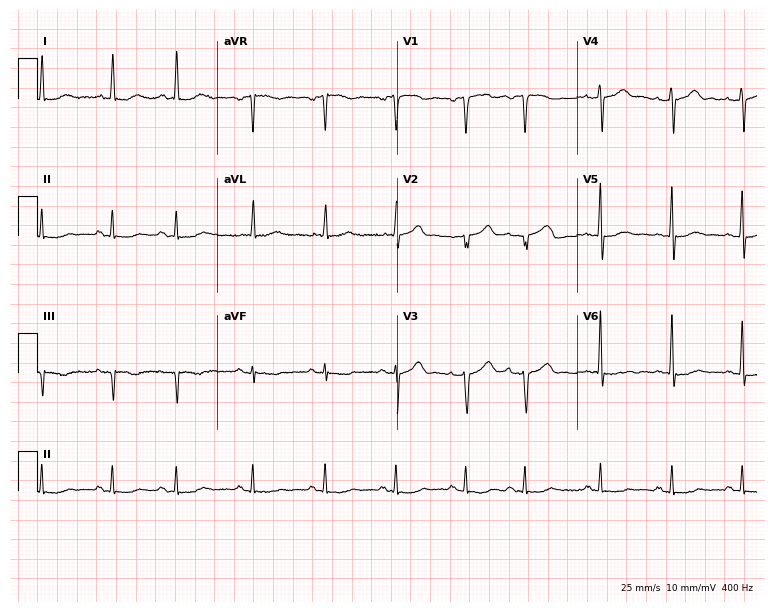
12-lead ECG from a male patient, 71 years old. Screened for six findings — first-degree AV block, right bundle branch block, left bundle branch block, sinus bradycardia, atrial fibrillation, sinus tachycardia — none is recorded.